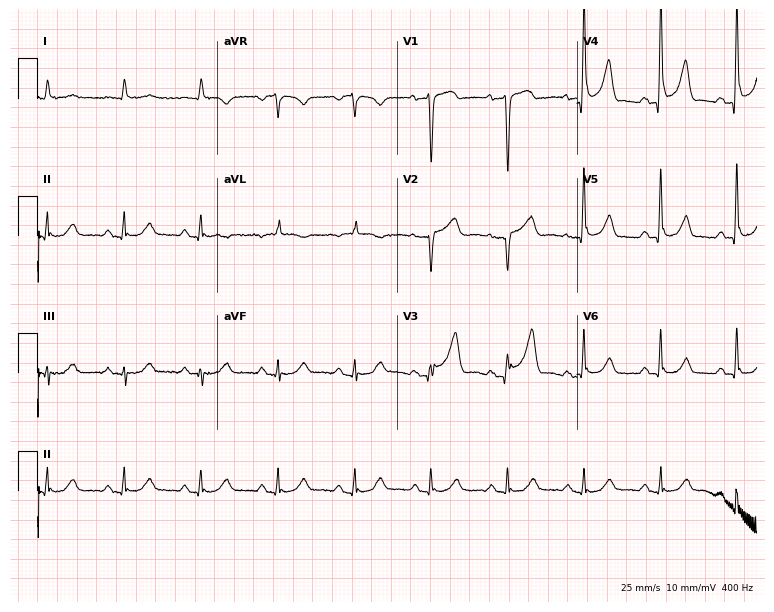
Electrocardiogram (7.3-second recording at 400 Hz), a man, 80 years old. Of the six screened findings (first-degree AV block, right bundle branch block, left bundle branch block, sinus bradycardia, atrial fibrillation, sinus tachycardia), none is recorded. Other findings, if any, are not listed.